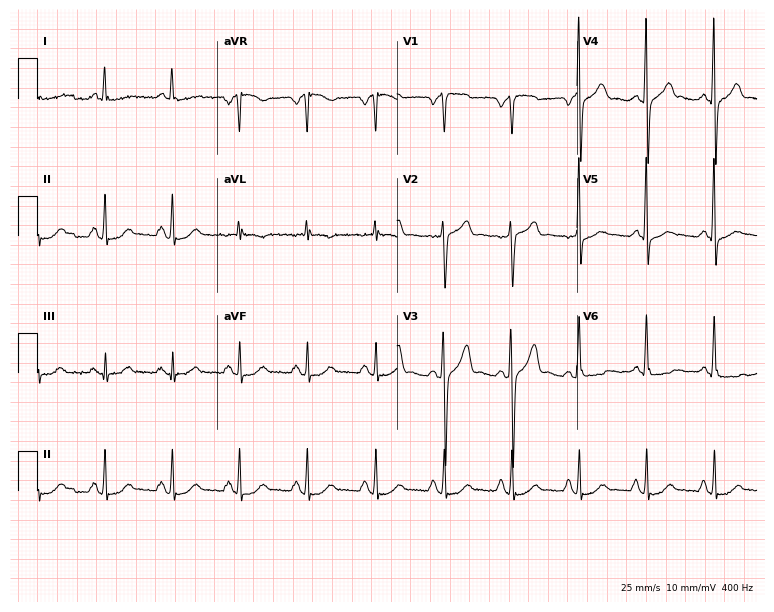
Standard 12-lead ECG recorded from a man, 45 years old (7.3-second recording at 400 Hz). None of these six findings is recorded: first-degree AV block, right bundle branch block (RBBB), left bundle branch block (LBBB), sinus bradycardia, atrial fibrillation (AF), sinus tachycardia. Other findings, if any, are not listed.